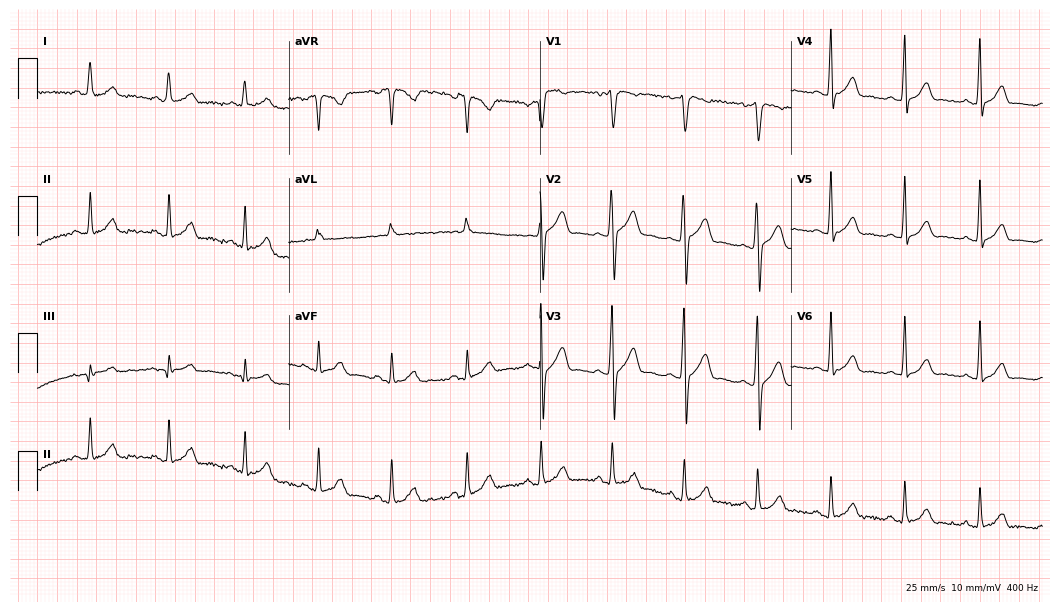
12-lead ECG from a 20-year-old man (10.2-second recording at 400 Hz). No first-degree AV block, right bundle branch block, left bundle branch block, sinus bradycardia, atrial fibrillation or sinus tachycardia recorded for this tracing. Findings outside these six are not listed.